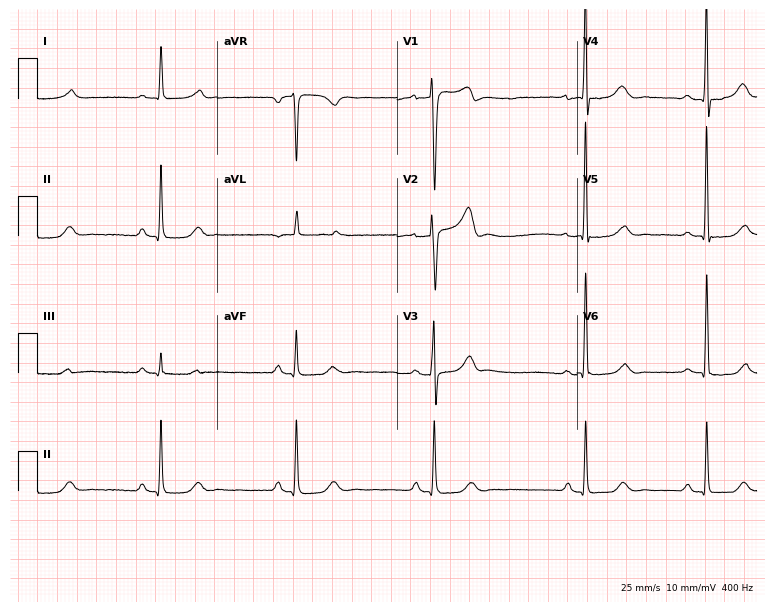
Electrocardiogram, a 65-year-old male patient. Interpretation includes sinus bradycardia (a sinus rate of 50 beats per minute or less).